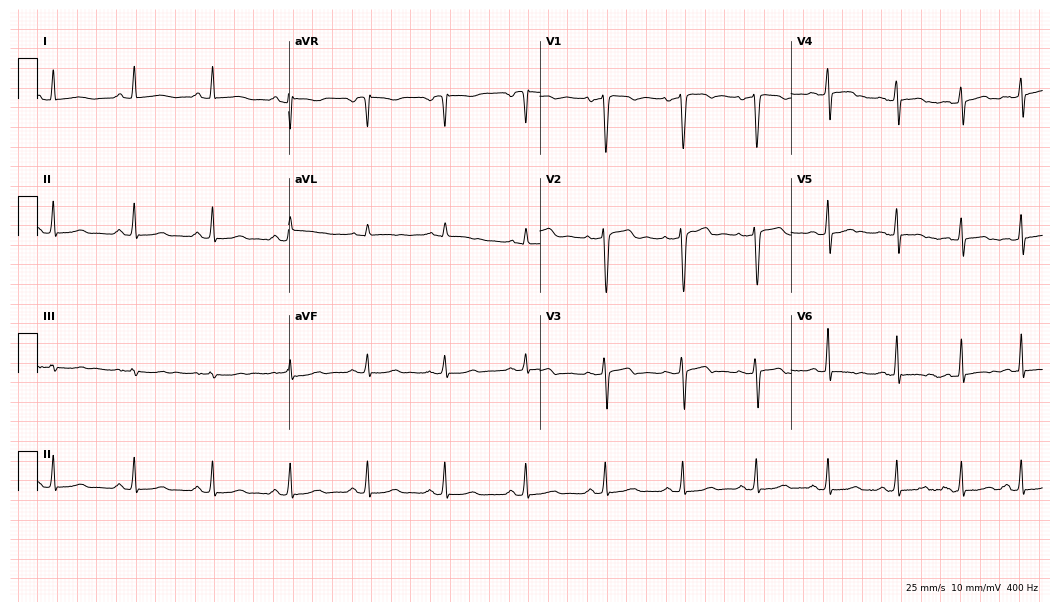
12-lead ECG from a 43-year-old woman. Screened for six findings — first-degree AV block, right bundle branch block, left bundle branch block, sinus bradycardia, atrial fibrillation, sinus tachycardia — none is recorded.